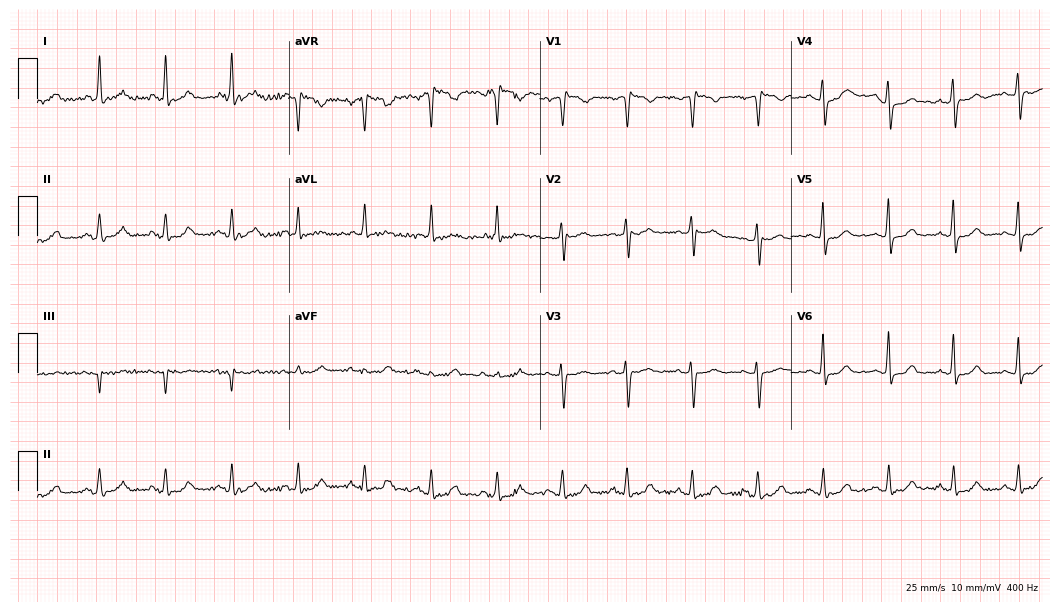
12-lead ECG (10.2-second recording at 400 Hz) from a 54-year-old woman. Screened for six findings — first-degree AV block, right bundle branch block, left bundle branch block, sinus bradycardia, atrial fibrillation, sinus tachycardia — none is recorded. Only these six findings were labelled.